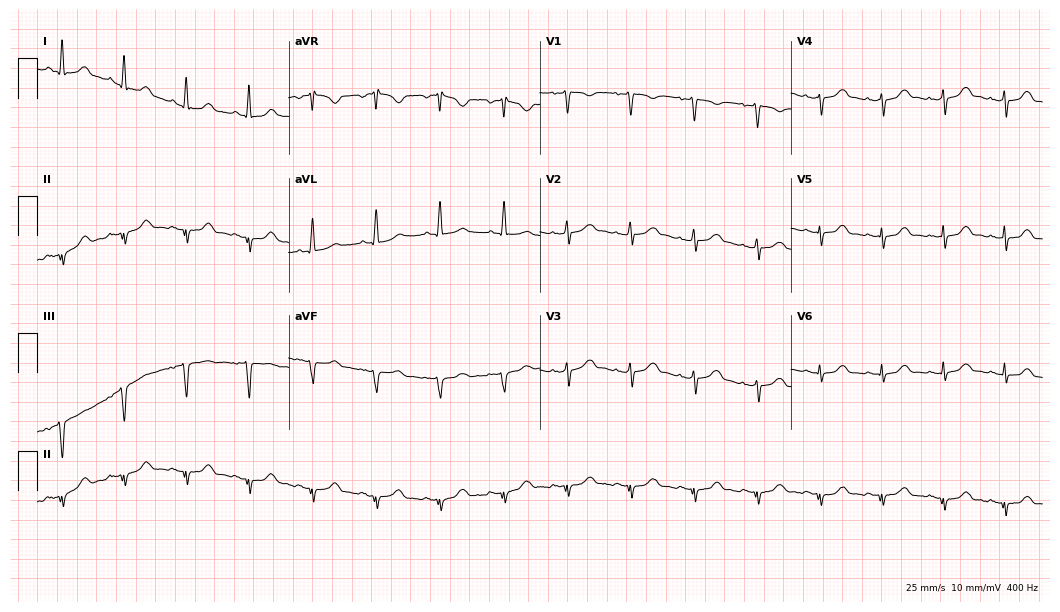
ECG — a female patient, 44 years old. Screened for six findings — first-degree AV block, right bundle branch block, left bundle branch block, sinus bradycardia, atrial fibrillation, sinus tachycardia — none is recorded. Other findings, if any, are not listed.